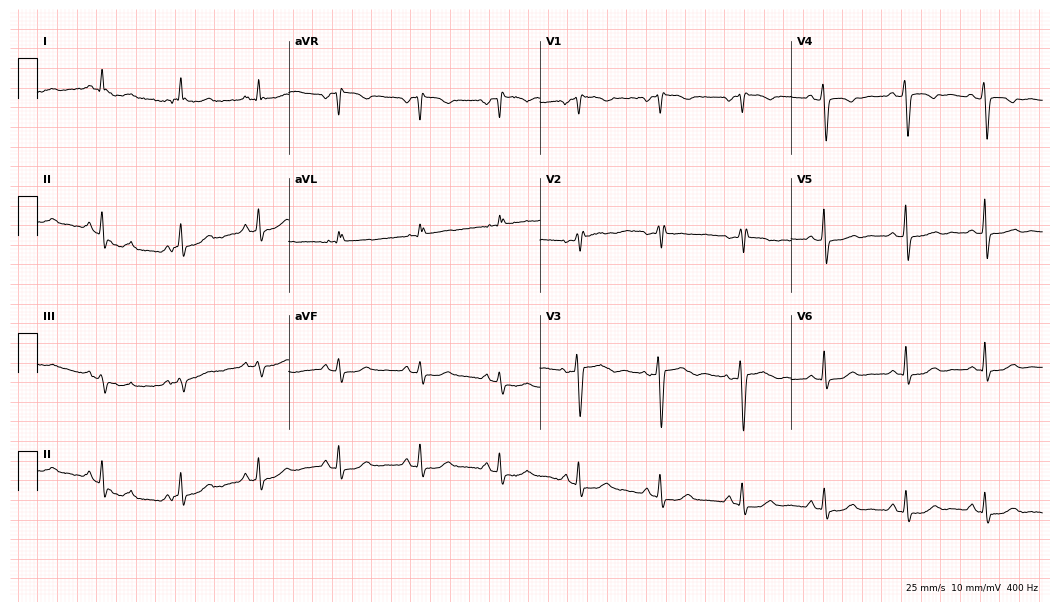
12-lead ECG (10.2-second recording at 400 Hz) from a female patient, 41 years old. Screened for six findings — first-degree AV block, right bundle branch block, left bundle branch block, sinus bradycardia, atrial fibrillation, sinus tachycardia — none is recorded. Only these six findings were labelled.